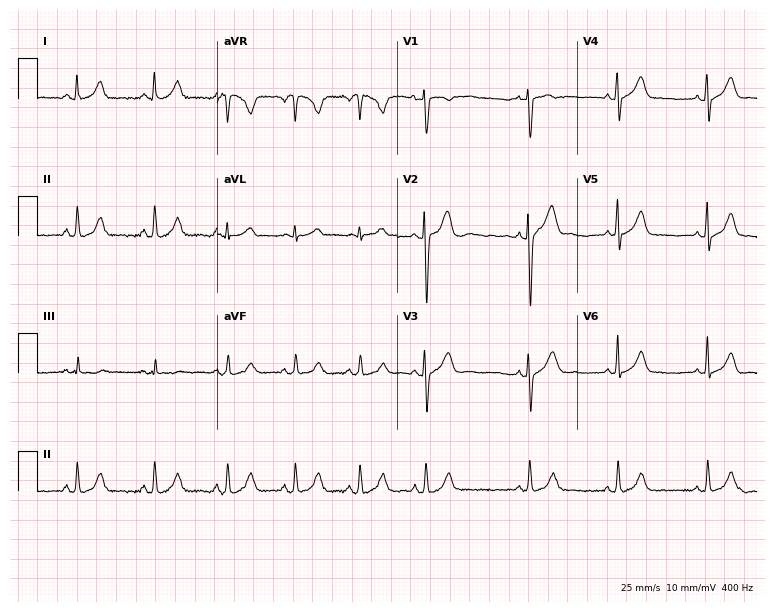
Standard 12-lead ECG recorded from a female patient, 18 years old. Read as a normal ECG.